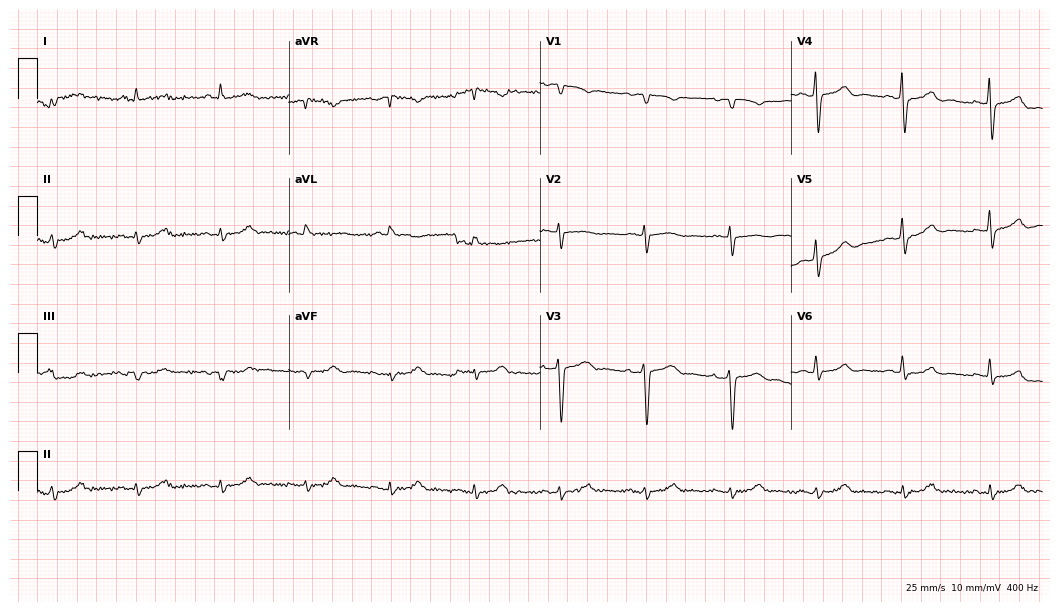
12-lead ECG from a man, 71 years old. Recorded interpretation: within normal limits.